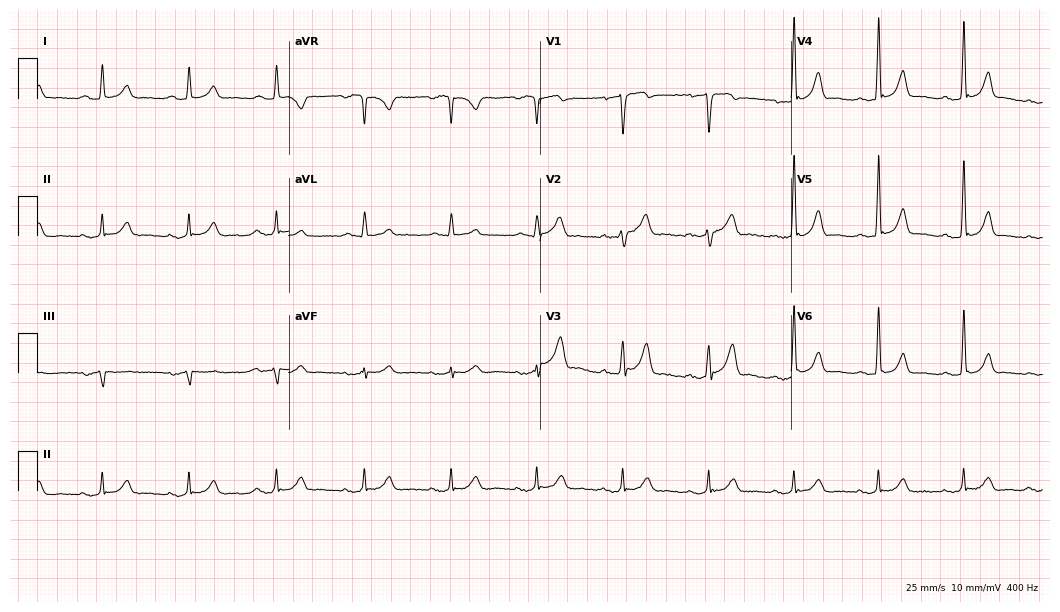
12-lead ECG from a male patient, 62 years old (10.2-second recording at 400 Hz). No first-degree AV block, right bundle branch block (RBBB), left bundle branch block (LBBB), sinus bradycardia, atrial fibrillation (AF) or sinus tachycardia recorded for this tracing. Findings outside these six are not listed.